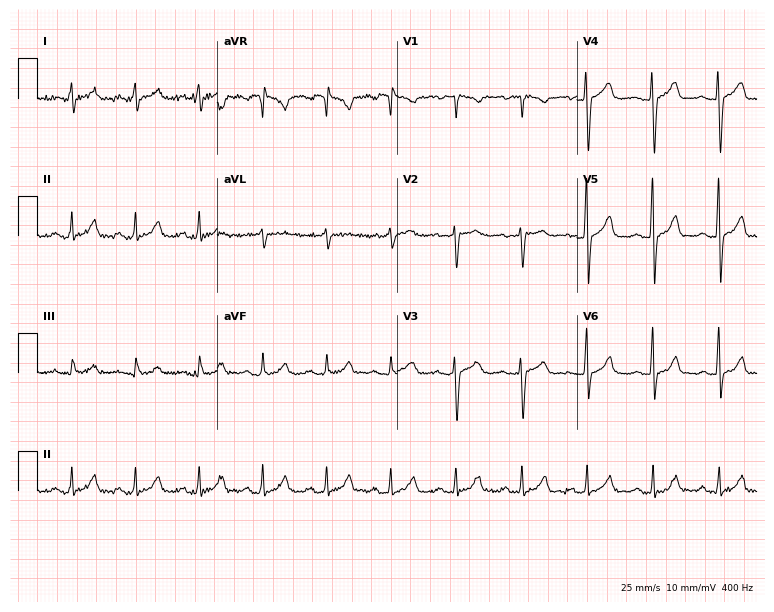
Electrocardiogram, a female patient, 50 years old. Of the six screened findings (first-degree AV block, right bundle branch block, left bundle branch block, sinus bradycardia, atrial fibrillation, sinus tachycardia), none is recorded. Findings outside these six are not listed.